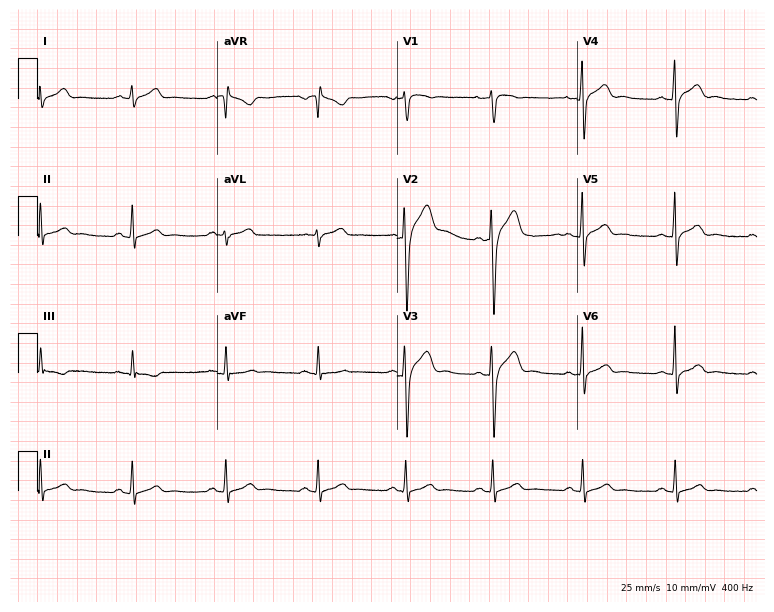
12-lead ECG from a 32-year-old man. Recorded interpretation: within normal limits.